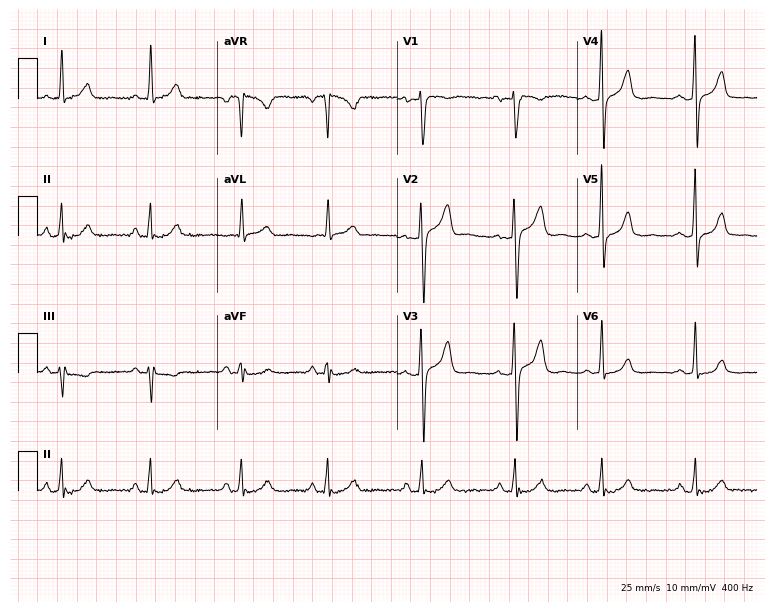
12-lead ECG from a female patient, 40 years old. No first-degree AV block, right bundle branch block, left bundle branch block, sinus bradycardia, atrial fibrillation or sinus tachycardia recorded for this tracing. Findings outside these six are not listed.